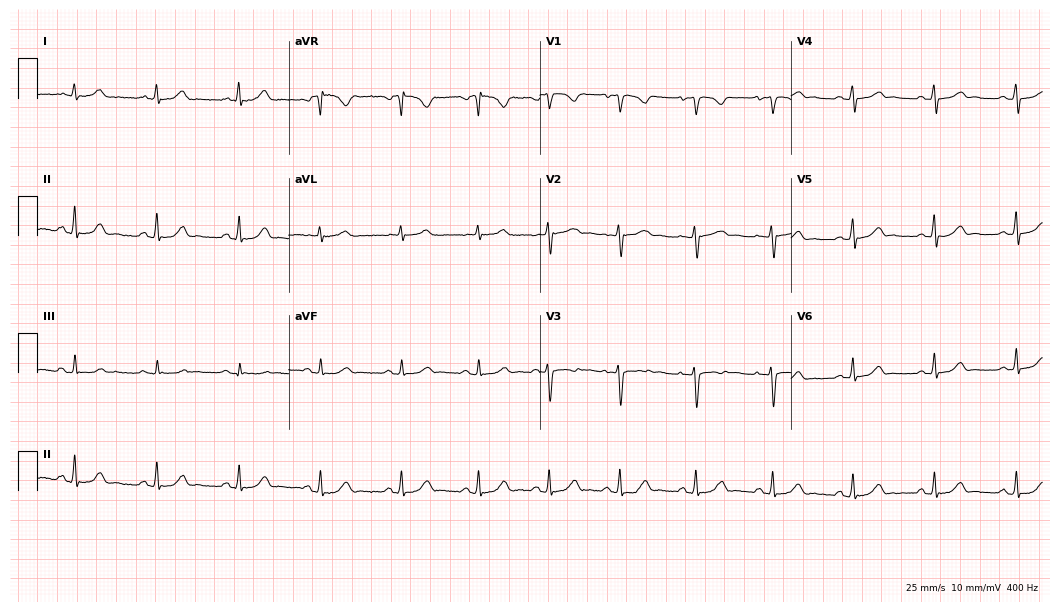
12-lead ECG from a woman, 27 years old. Labelled as a normal ECG.